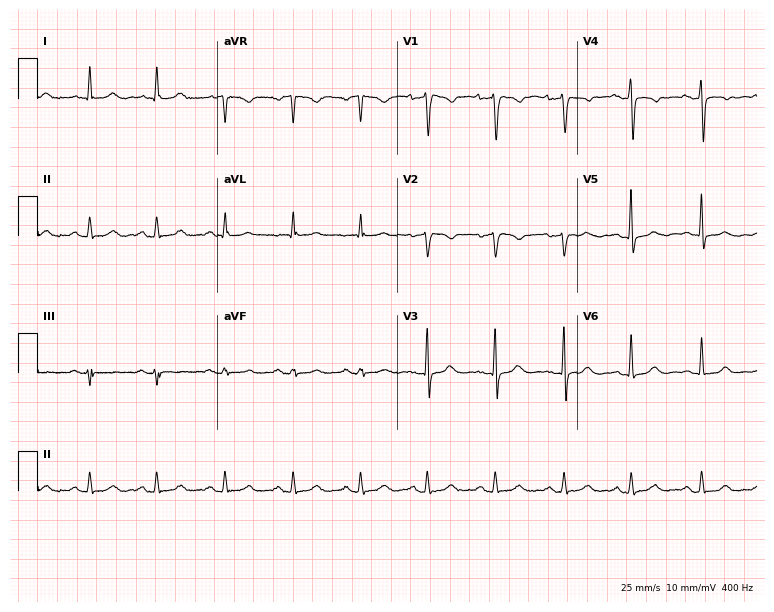
12-lead ECG from a 62-year-old female patient. Labelled as a normal ECG.